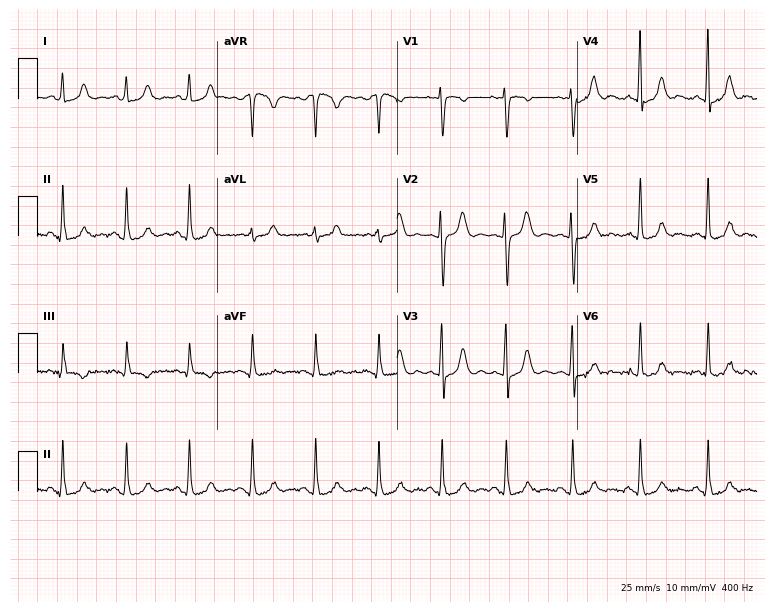
12-lead ECG from a female, 35 years old (7.3-second recording at 400 Hz). No first-degree AV block, right bundle branch block, left bundle branch block, sinus bradycardia, atrial fibrillation or sinus tachycardia recorded for this tracing. Other findings, if any, are not listed.